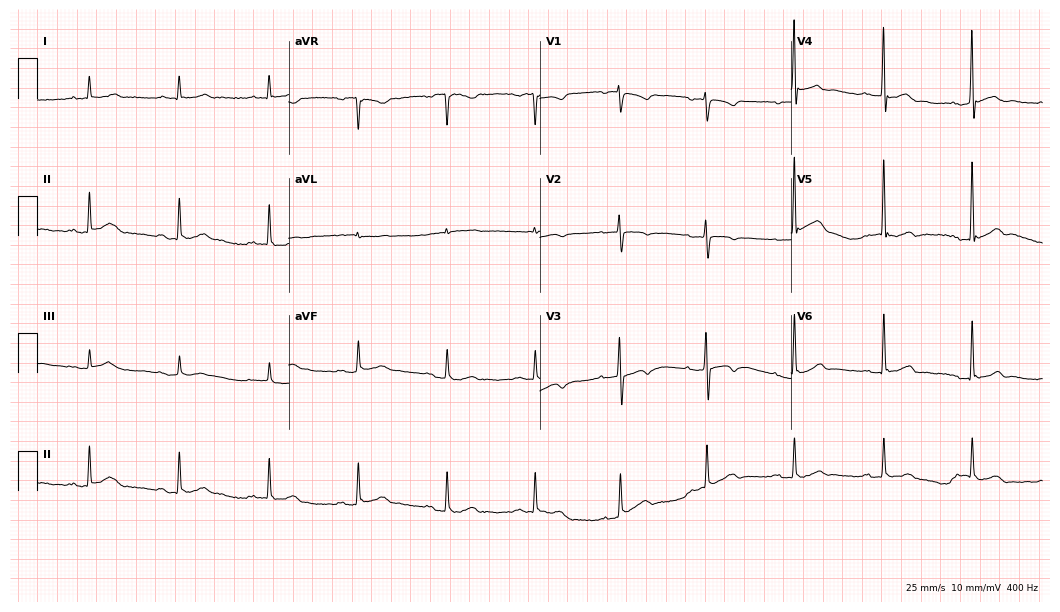
ECG — a male, 84 years old. Labelled as a normal ECG.